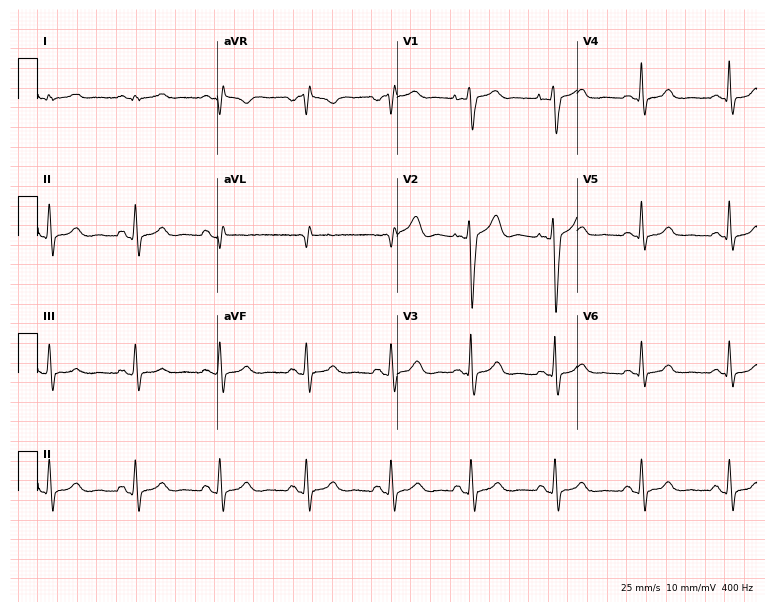
12-lead ECG from a female patient, 32 years old. Recorded interpretation: within normal limits.